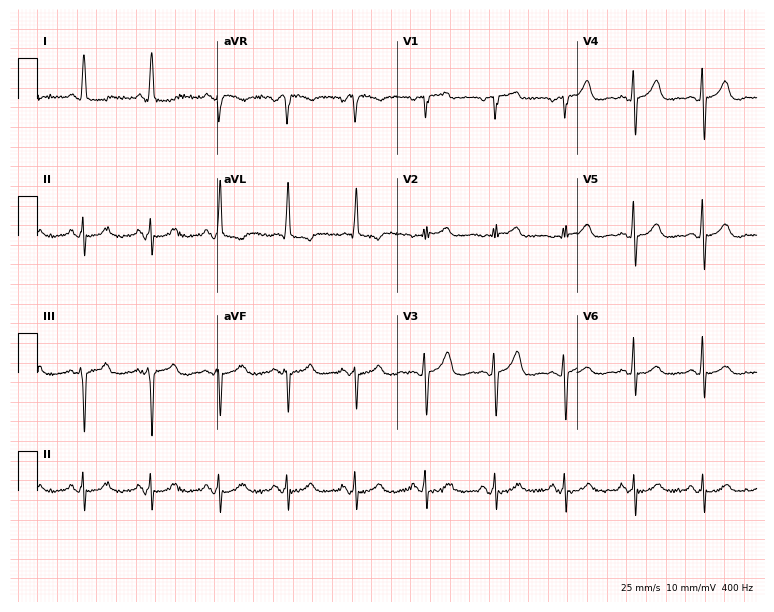
12-lead ECG from a female patient, 74 years old (7.3-second recording at 400 Hz). No first-degree AV block, right bundle branch block (RBBB), left bundle branch block (LBBB), sinus bradycardia, atrial fibrillation (AF) or sinus tachycardia recorded for this tracing.